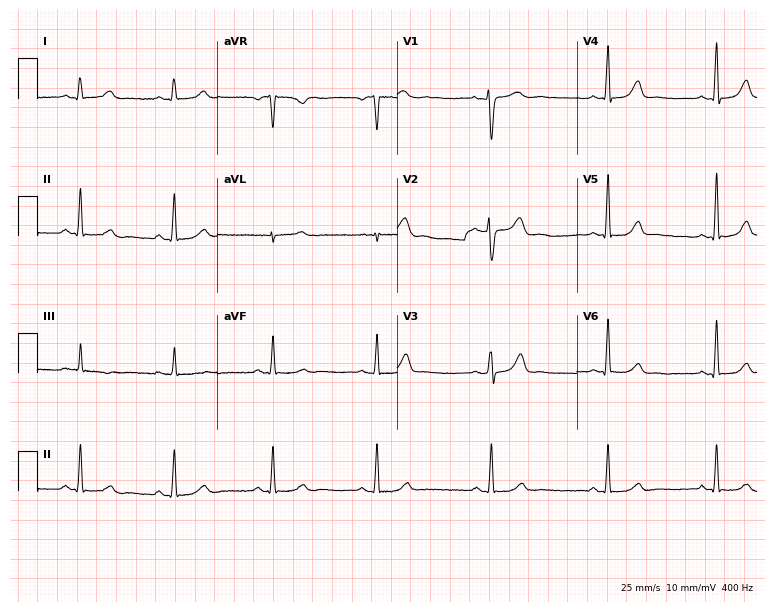
12-lead ECG from a 37-year-old female patient (7.3-second recording at 400 Hz). No first-degree AV block, right bundle branch block, left bundle branch block, sinus bradycardia, atrial fibrillation or sinus tachycardia recorded for this tracing.